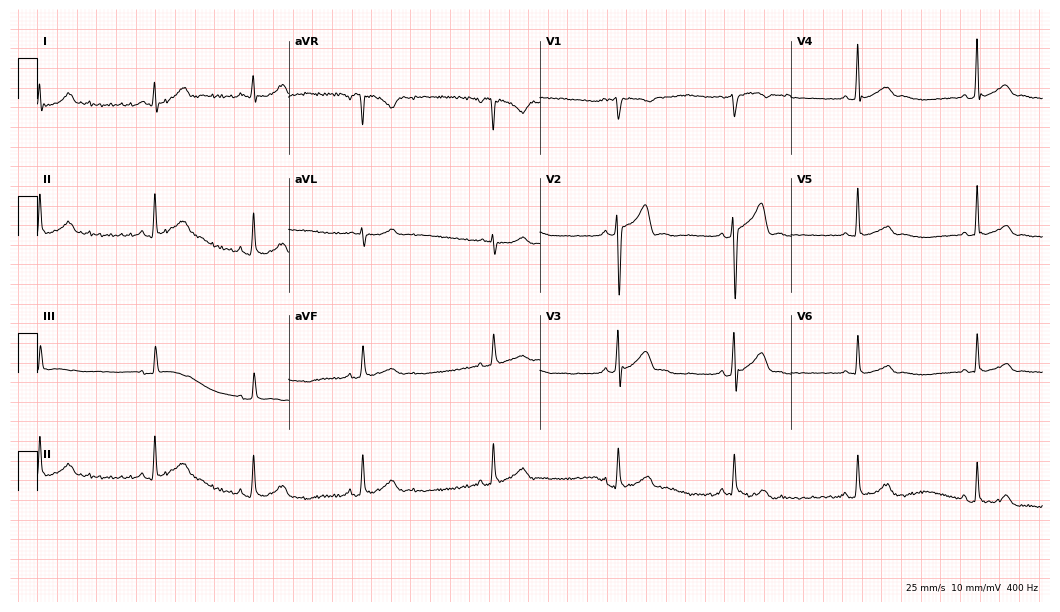
Resting 12-lead electrocardiogram (10.2-second recording at 400 Hz). Patient: a 36-year-old male. Read as a normal ECG.